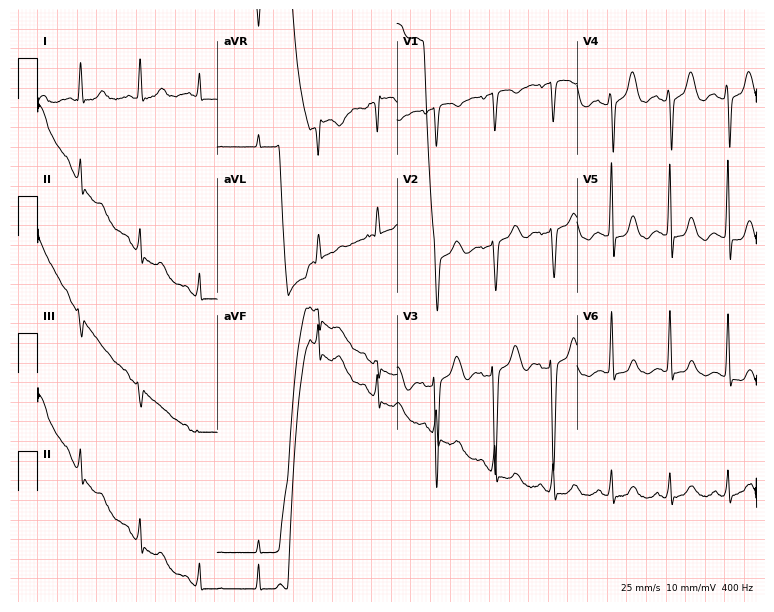
Electrocardiogram, a 70-year-old female. Interpretation includes sinus tachycardia (a sinus rate of 100 beats per minute or more).